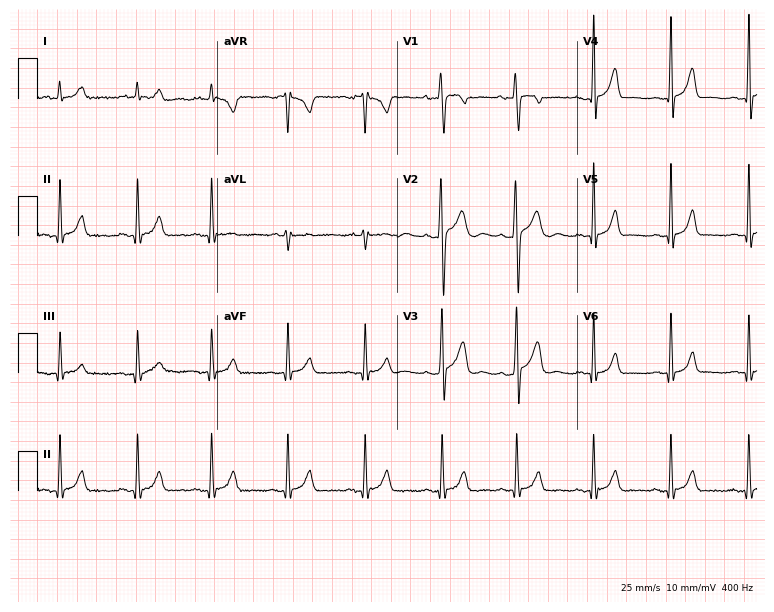
Electrocardiogram, a man, 20 years old. Overall reading on record: normal ECG.